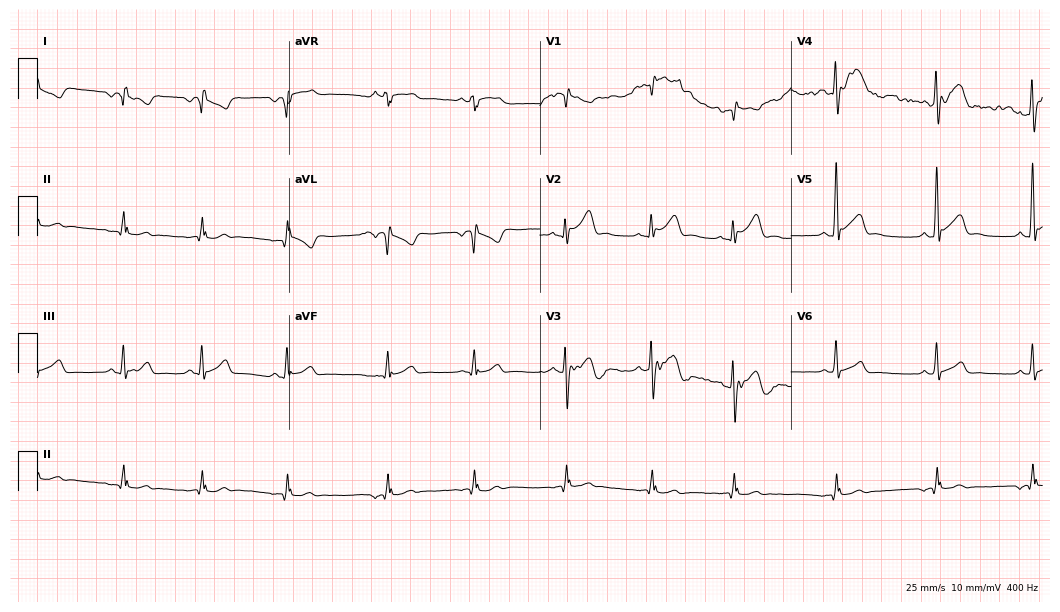
Electrocardiogram (10.2-second recording at 400 Hz), a man, 17 years old. Of the six screened findings (first-degree AV block, right bundle branch block (RBBB), left bundle branch block (LBBB), sinus bradycardia, atrial fibrillation (AF), sinus tachycardia), none is recorded.